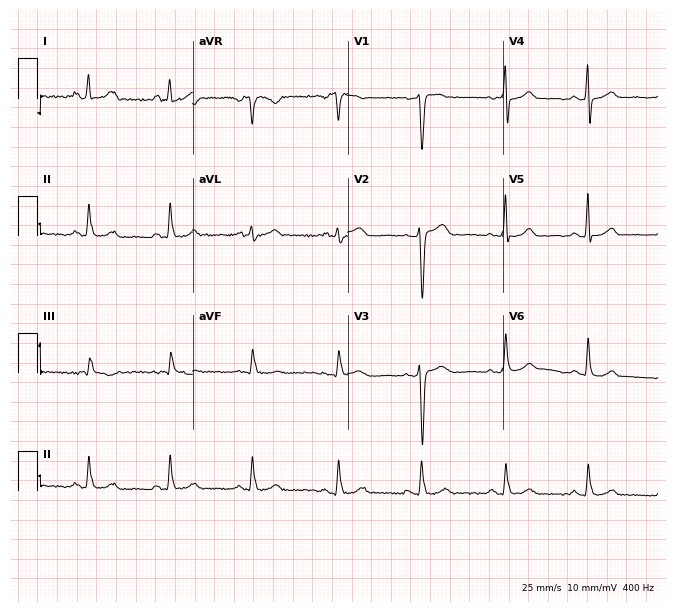
12-lead ECG from a woman, 40 years old. Recorded interpretation: within normal limits.